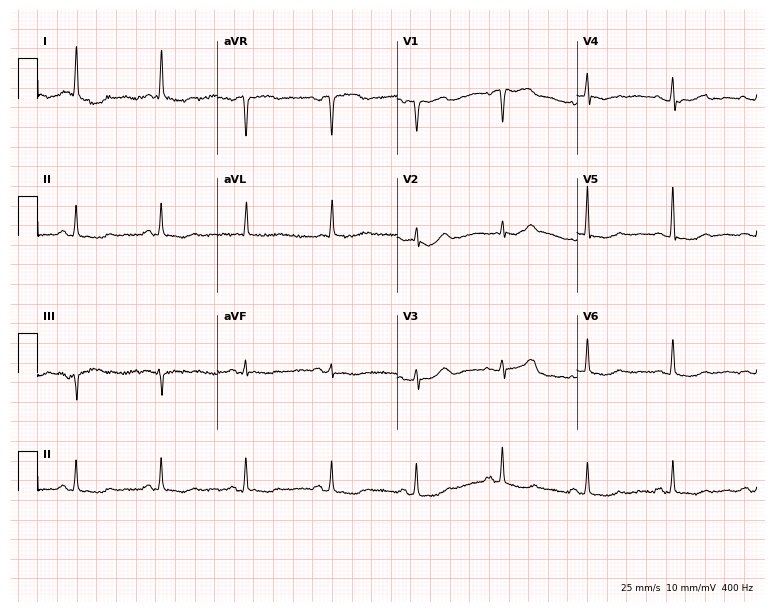
ECG — a female patient, 84 years old. Screened for six findings — first-degree AV block, right bundle branch block (RBBB), left bundle branch block (LBBB), sinus bradycardia, atrial fibrillation (AF), sinus tachycardia — none is recorded.